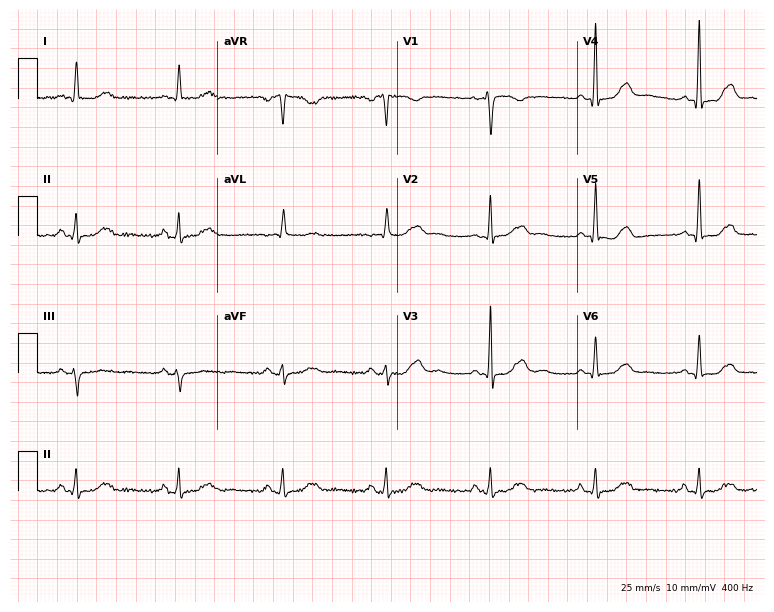
12-lead ECG from a 56-year-old female. No first-degree AV block, right bundle branch block, left bundle branch block, sinus bradycardia, atrial fibrillation or sinus tachycardia recorded for this tracing.